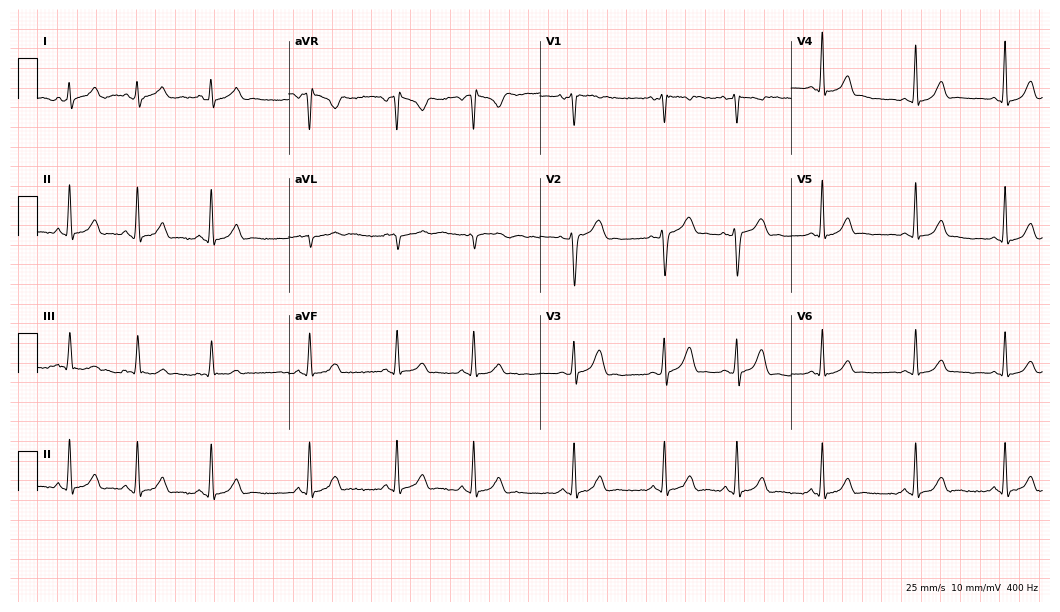
Resting 12-lead electrocardiogram (10.2-second recording at 400 Hz). Patient: a 23-year-old woman. Read as a normal ECG.